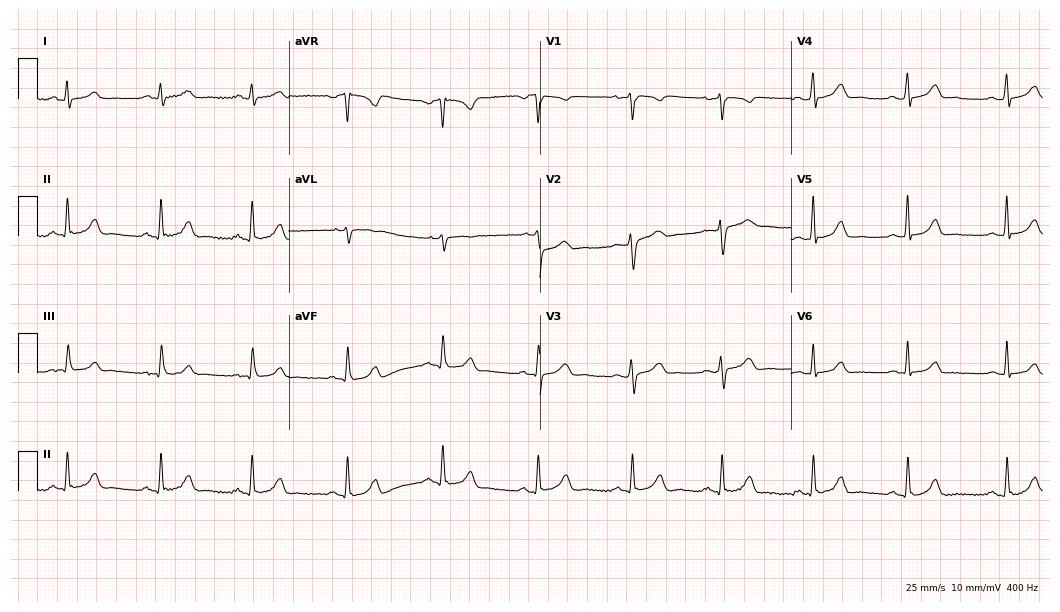
Electrocardiogram (10.2-second recording at 400 Hz), a female, 58 years old. Overall reading on record: normal ECG.